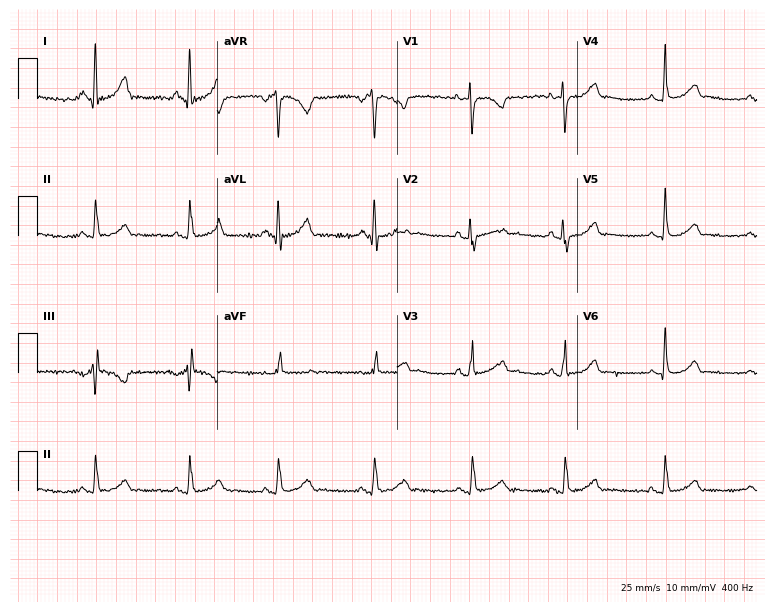
12-lead ECG from a 74-year-old woman. Recorded interpretation: within normal limits.